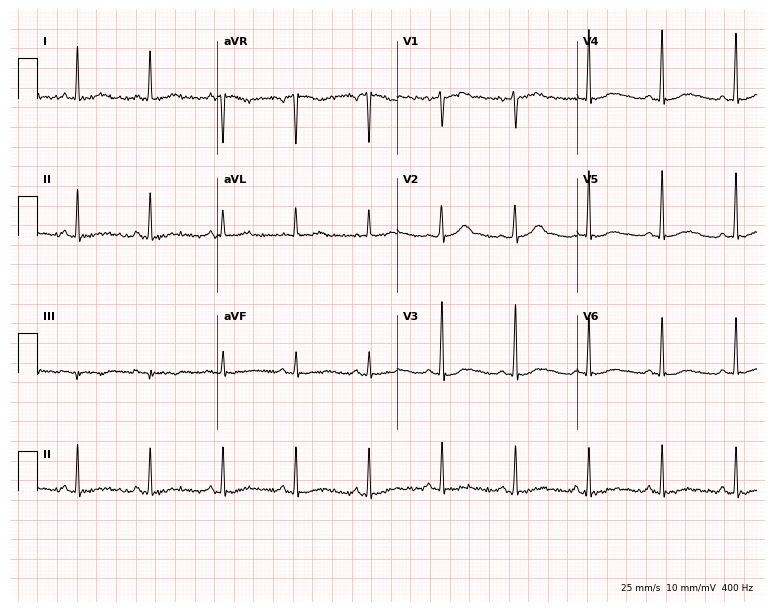
ECG (7.3-second recording at 400 Hz) — a 49-year-old female. Screened for six findings — first-degree AV block, right bundle branch block, left bundle branch block, sinus bradycardia, atrial fibrillation, sinus tachycardia — none is recorded. Only these six findings were labelled.